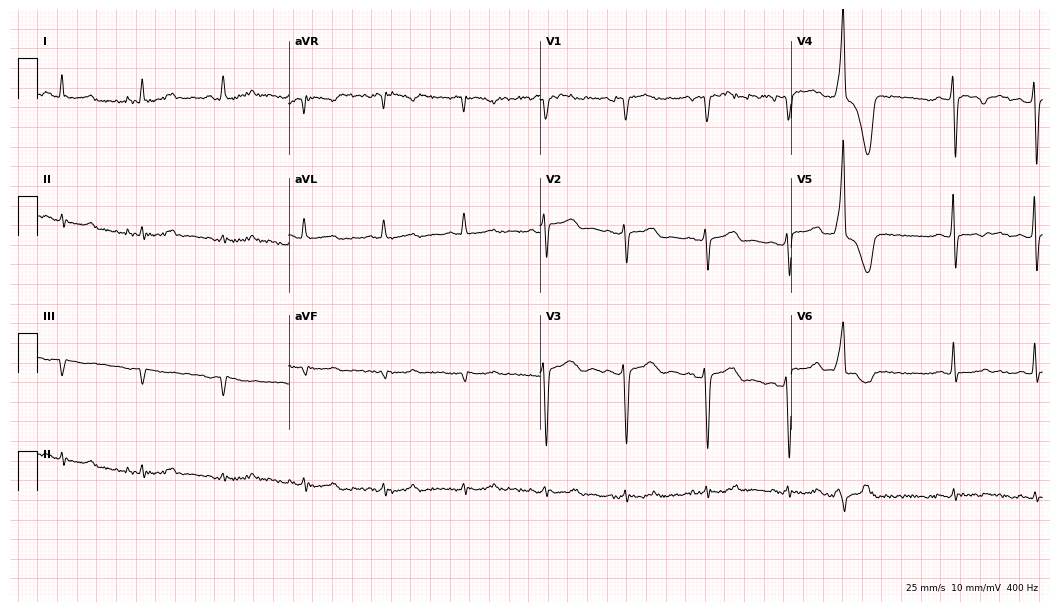
Resting 12-lead electrocardiogram (10.2-second recording at 400 Hz). Patient: a 63-year-old male. None of these six findings is recorded: first-degree AV block, right bundle branch block (RBBB), left bundle branch block (LBBB), sinus bradycardia, atrial fibrillation (AF), sinus tachycardia.